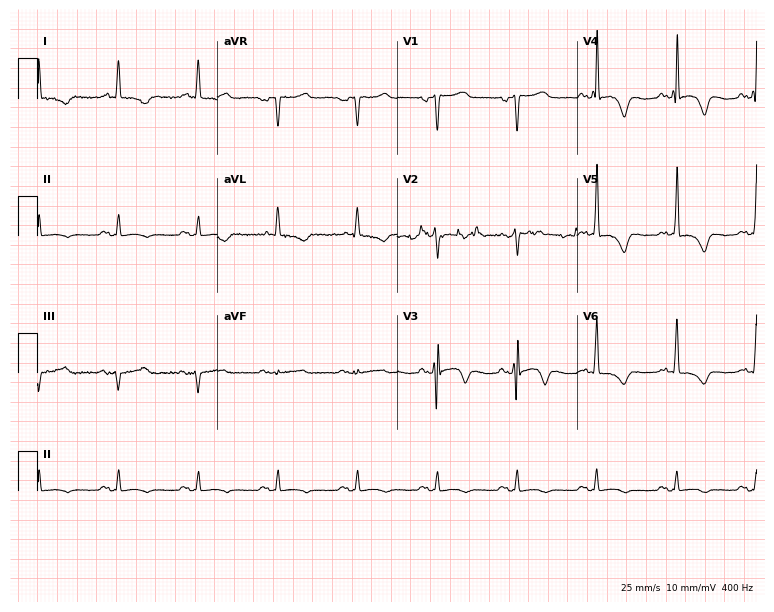
12-lead ECG from a 74-year-old male patient (7.3-second recording at 400 Hz). No first-degree AV block, right bundle branch block, left bundle branch block, sinus bradycardia, atrial fibrillation or sinus tachycardia recorded for this tracing.